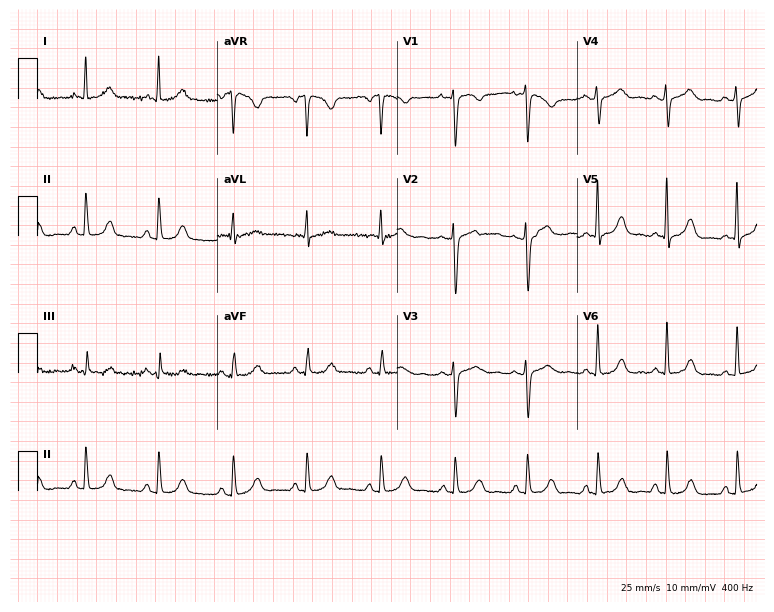
12-lead ECG from a 46-year-old female patient (7.3-second recording at 400 Hz). Recorded interpretation: within normal limits.